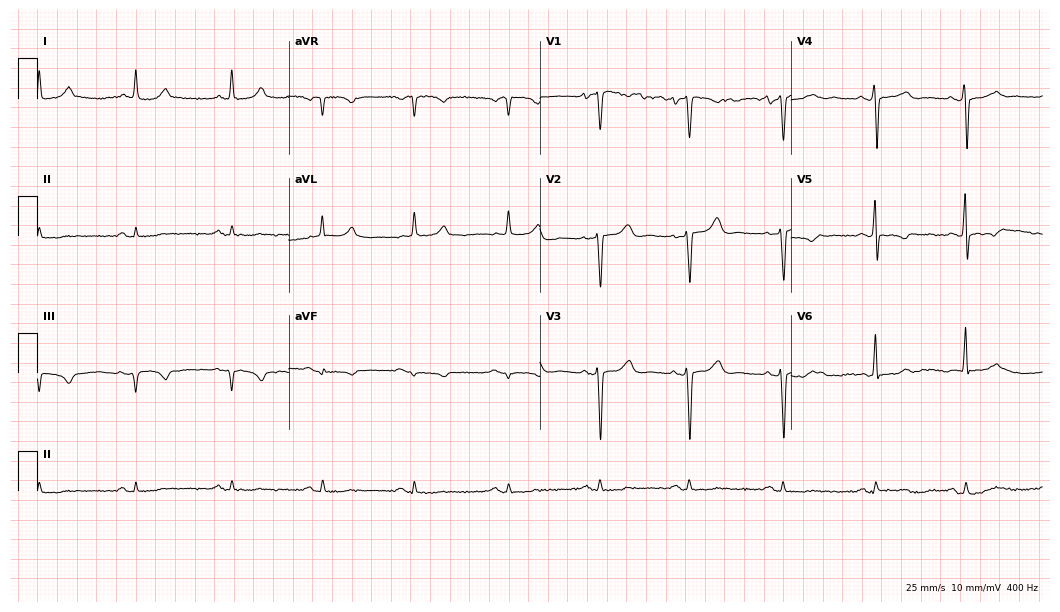
ECG — a male patient, 80 years old. Screened for six findings — first-degree AV block, right bundle branch block, left bundle branch block, sinus bradycardia, atrial fibrillation, sinus tachycardia — none is recorded.